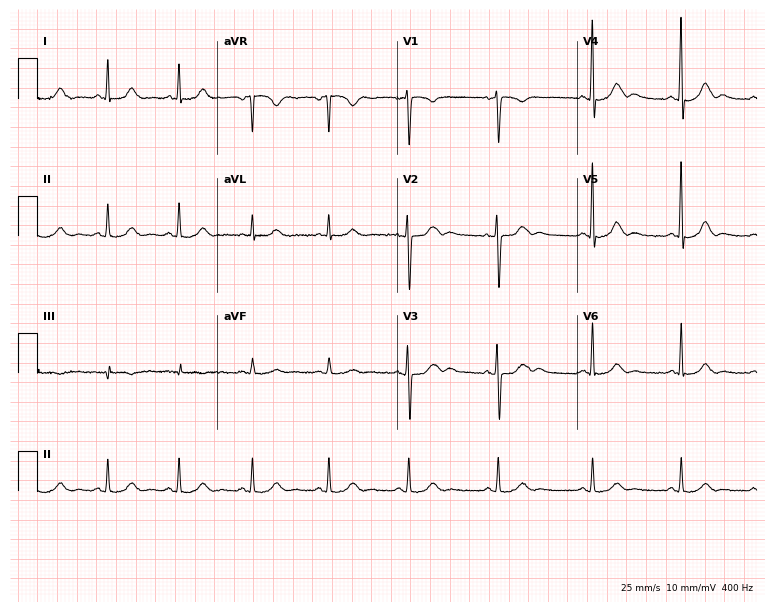
12-lead ECG from a 49-year-old female (7.3-second recording at 400 Hz). Recorded interpretation: within normal limits.